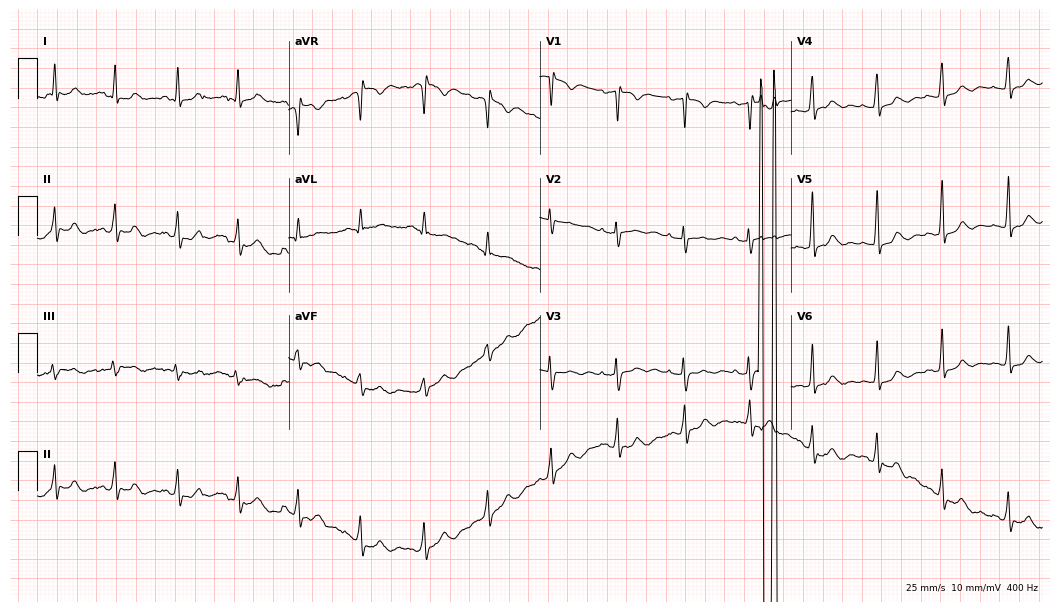
12-lead ECG from a 32-year-old woman. Screened for six findings — first-degree AV block, right bundle branch block, left bundle branch block, sinus bradycardia, atrial fibrillation, sinus tachycardia — none is recorded.